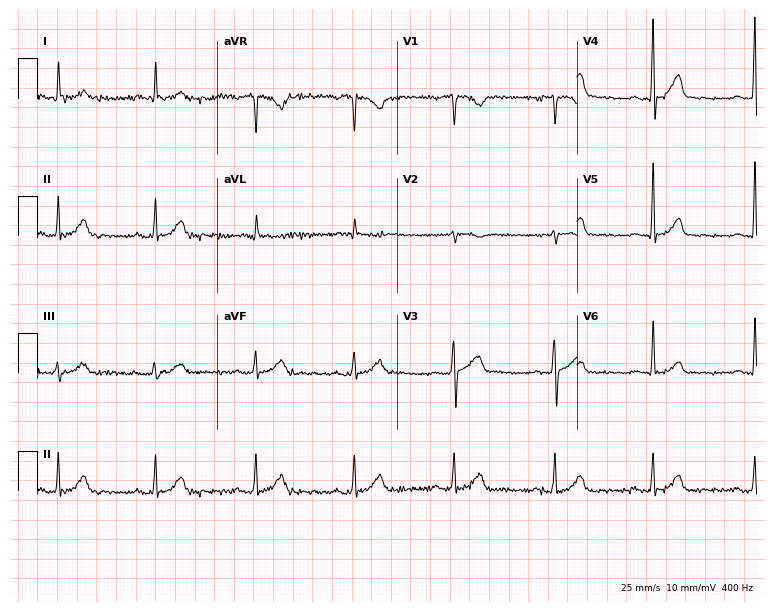
12-lead ECG from a man, 85 years old. Labelled as a normal ECG.